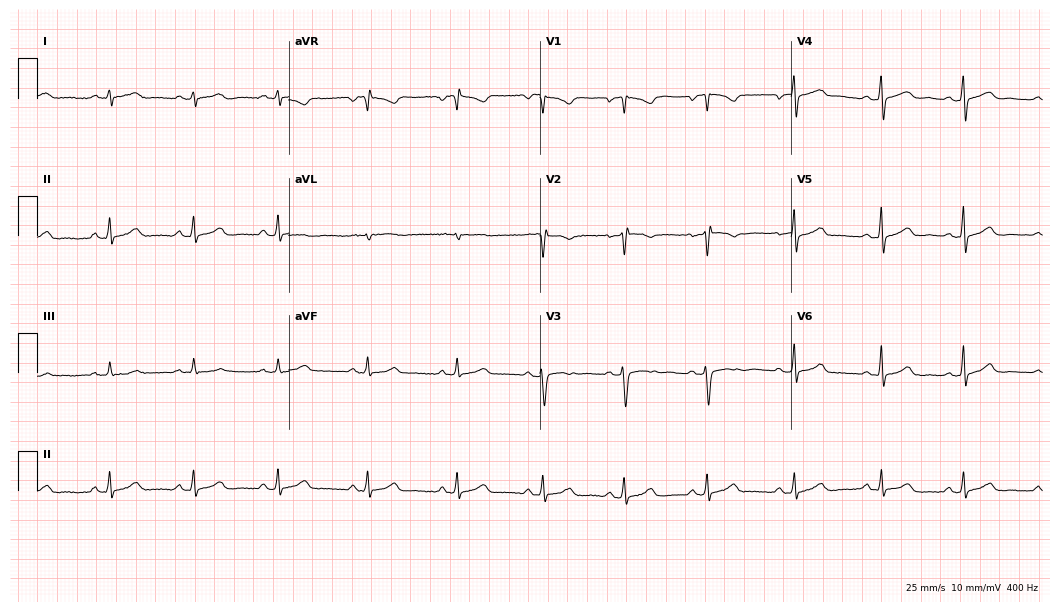
Electrocardiogram (10.2-second recording at 400 Hz), a female, 34 years old. Overall reading on record: normal ECG.